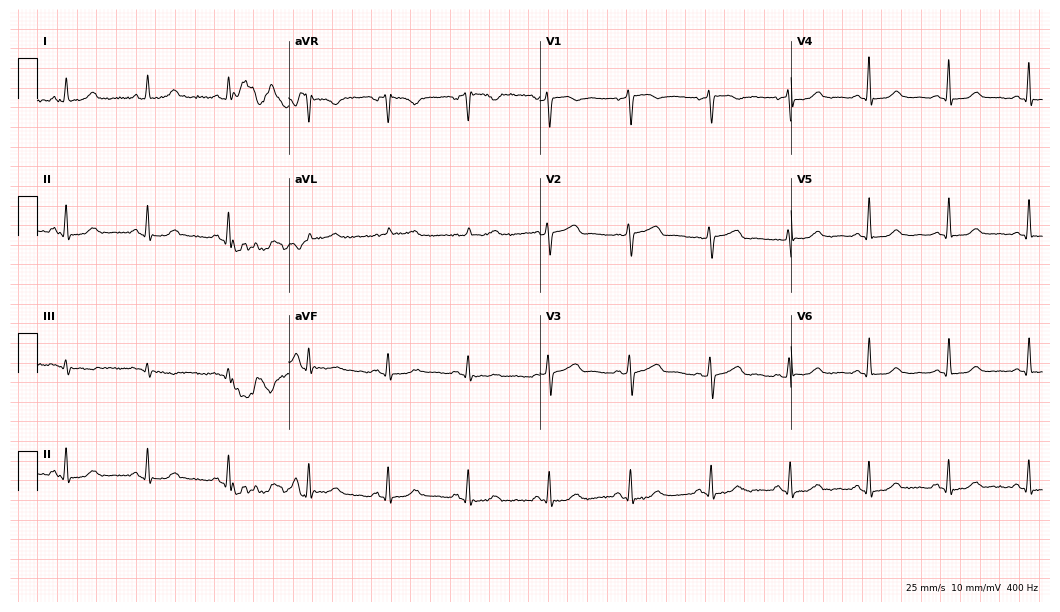
Resting 12-lead electrocardiogram. Patient: a 52-year-old woman. None of these six findings is recorded: first-degree AV block, right bundle branch block, left bundle branch block, sinus bradycardia, atrial fibrillation, sinus tachycardia.